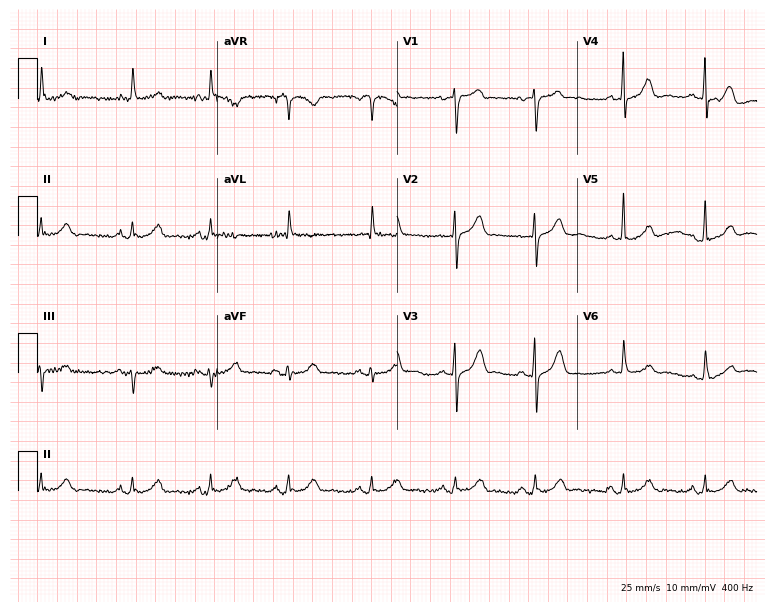
12-lead ECG (7.3-second recording at 400 Hz) from a male patient, 80 years old. Labelled as a normal ECG.